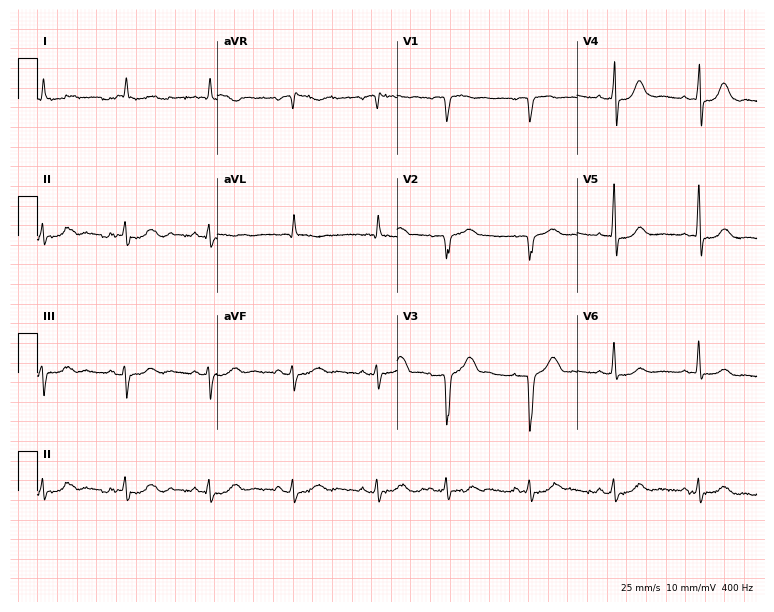
Electrocardiogram, a 79-year-old male patient. Of the six screened findings (first-degree AV block, right bundle branch block, left bundle branch block, sinus bradycardia, atrial fibrillation, sinus tachycardia), none is recorded. Findings outside these six are not listed.